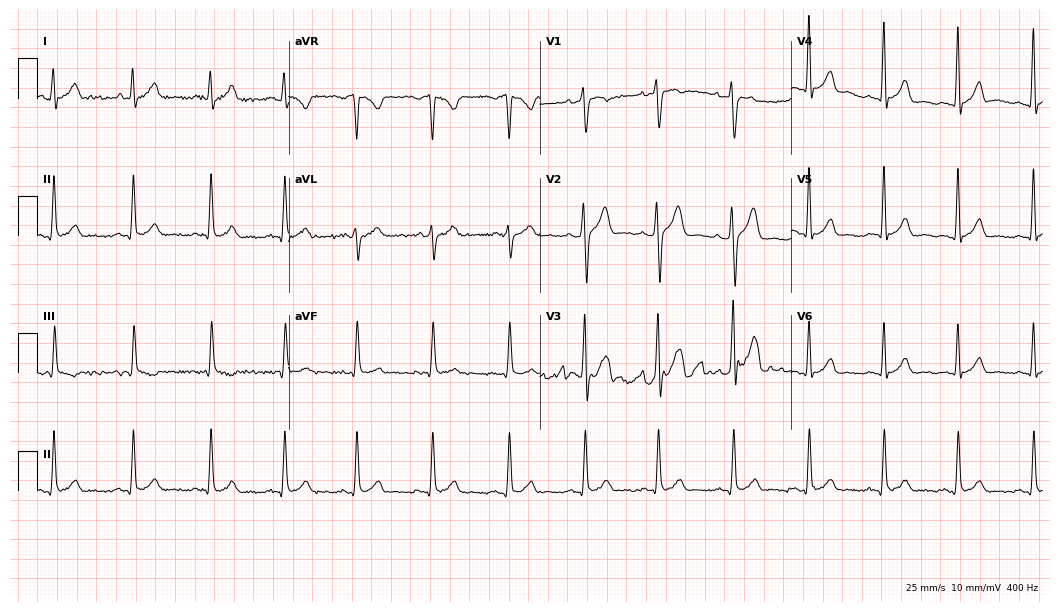
Resting 12-lead electrocardiogram (10.2-second recording at 400 Hz). Patient: a 29-year-old male. Read as a normal ECG.